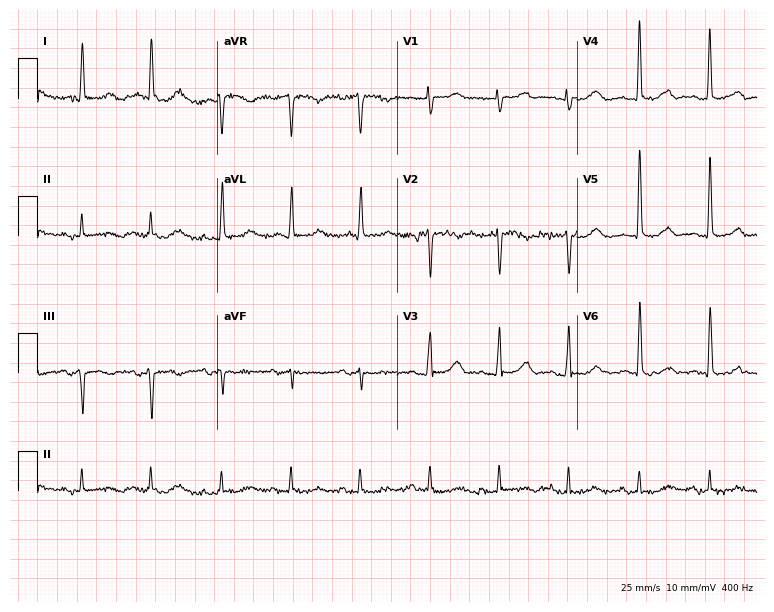
12-lead ECG from an 84-year-old female patient. Labelled as a normal ECG.